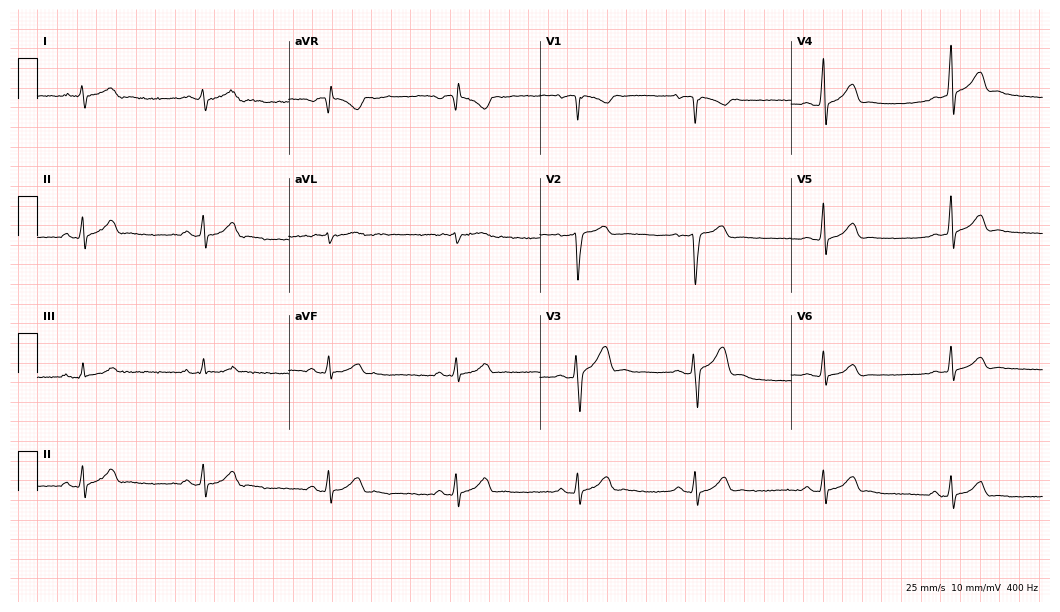
Resting 12-lead electrocardiogram (10.2-second recording at 400 Hz). Patient: a 30-year-old male. Read as a normal ECG.